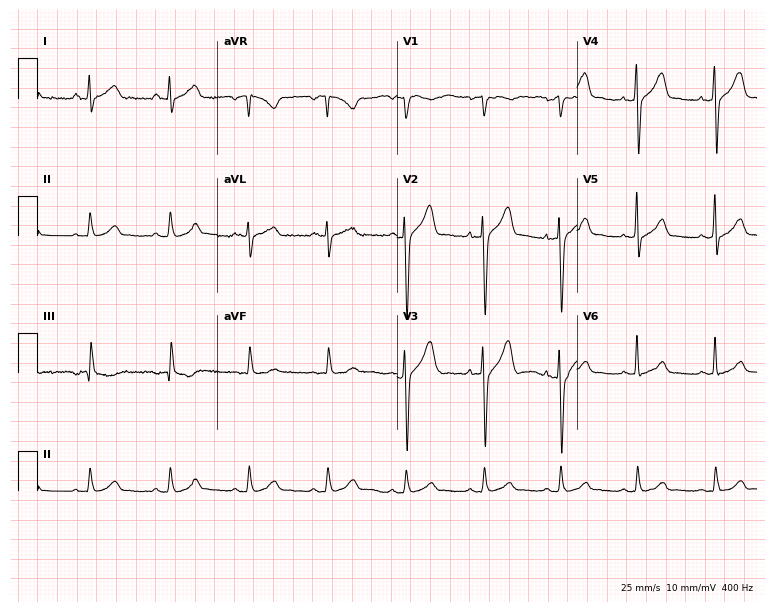
12-lead ECG (7.3-second recording at 400 Hz) from a man, 30 years old. Labelled as a normal ECG.